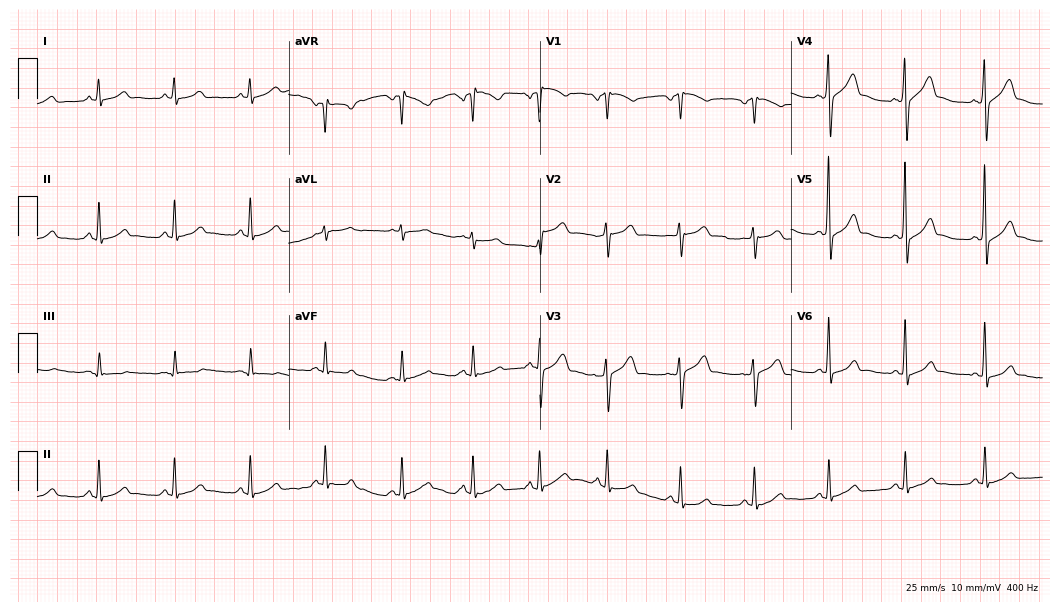
12-lead ECG from a male patient, 51 years old (10.2-second recording at 400 Hz). Recorded interpretation: within normal limits.